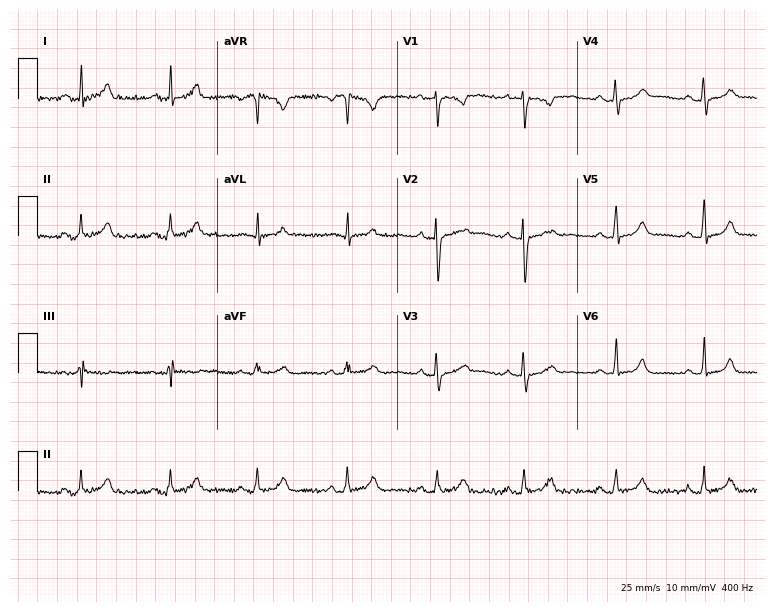
Electrocardiogram (7.3-second recording at 400 Hz), a woman, 27 years old. Of the six screened findings (first-degree AV block, right bundle branch block, left bundle branch block, sinus bradycardia, atrial fibrillation, sinus tachycardia), none is recorded. Other findings, if any, are not listed.